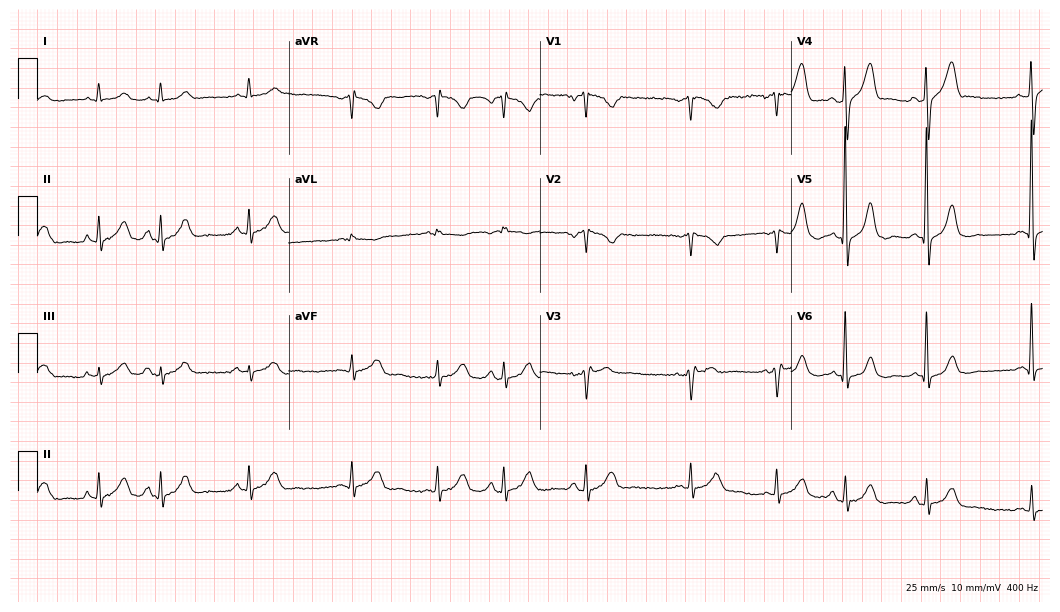
Standard 12-lead ECG recorded from a 32-year-old man. Read as a normal ECG.